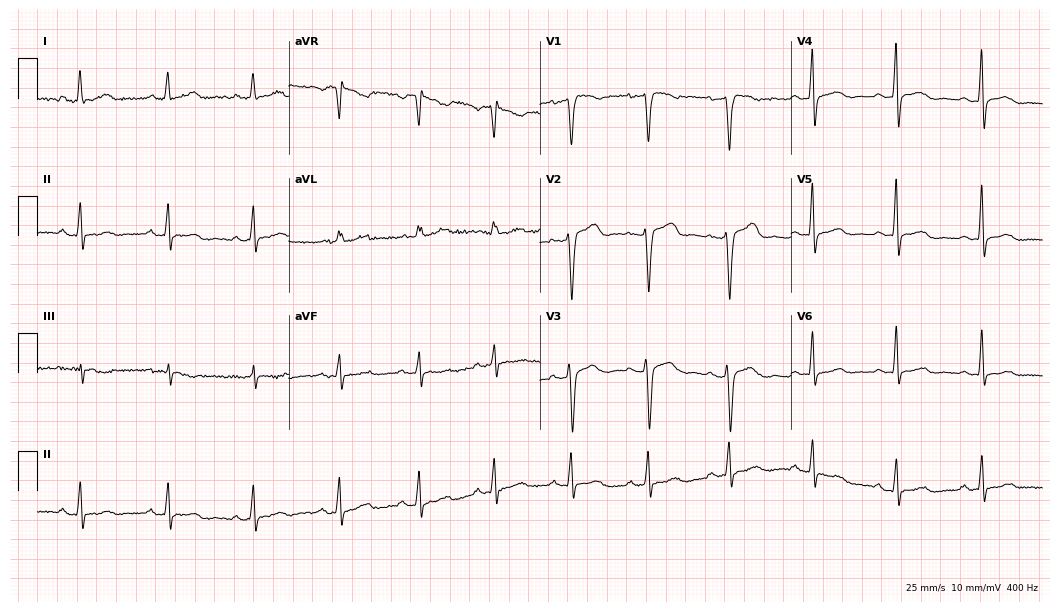
12-lead ECG from a female, 53 years old. Screened for six findings — first-degree AV block, right bundle branch block, left bundle branch block, sinus bradycardia, atrial fibrillation, sinus tachycardia — none is recorded. Only these six findings were labelled.